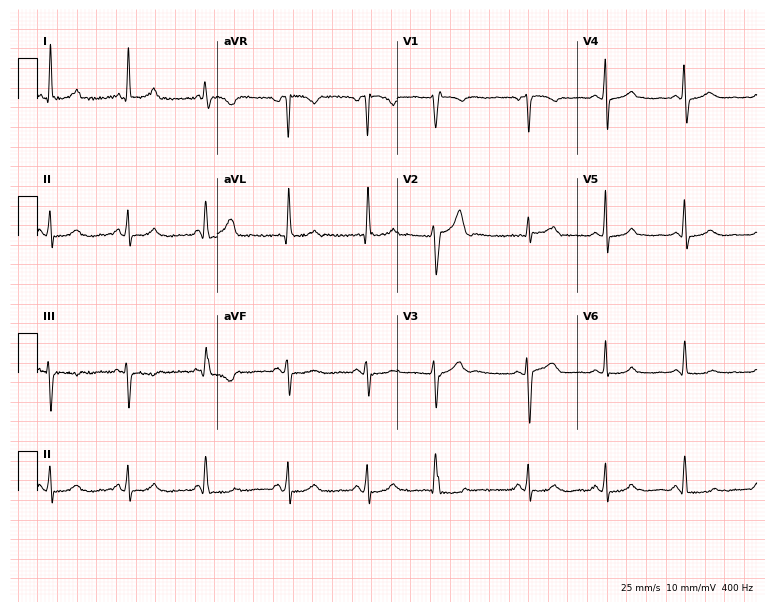
Resting 12-lead electrocardiogram (7.3-second recording at 400 Hz). Patient: a 57-year-old female. None of these six findings is recorded: first-degree AV block, right bundle branch block, left bundle branch block, sinus bradycardia, atrial fibrillation, sinus tachycardia. Only these six findings were labelled.